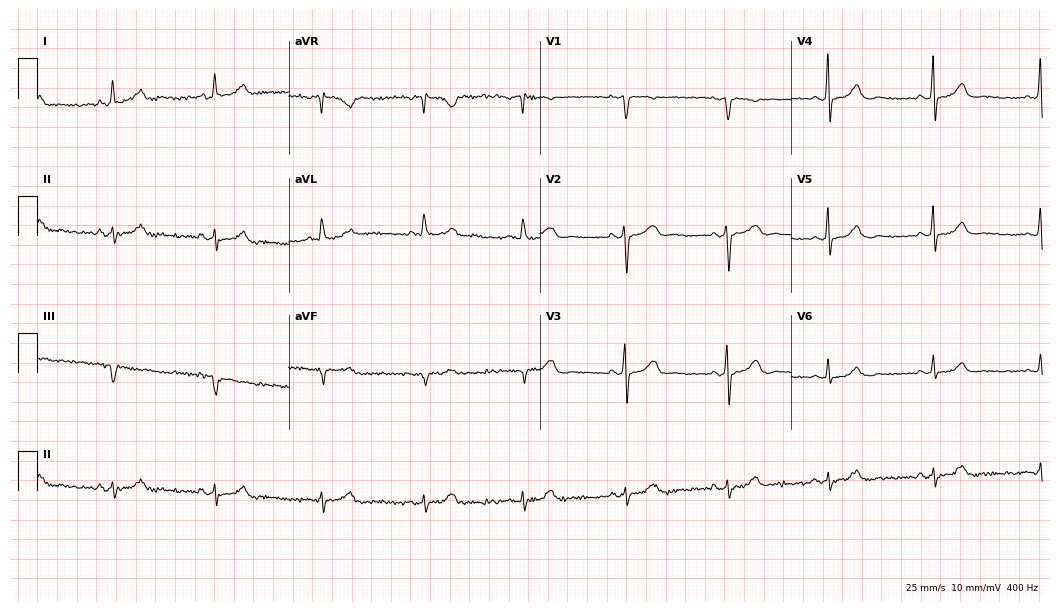
12-lead ECG from a 59-year-old female patient. No first-degree AV block, right bundle branch block (RBBB), left bundle branch block (LBBB), sinus bradycardia, atrial fibrillation (AF) or sinus tachycardia recorded for this tracing. Only these six findings were labelled.